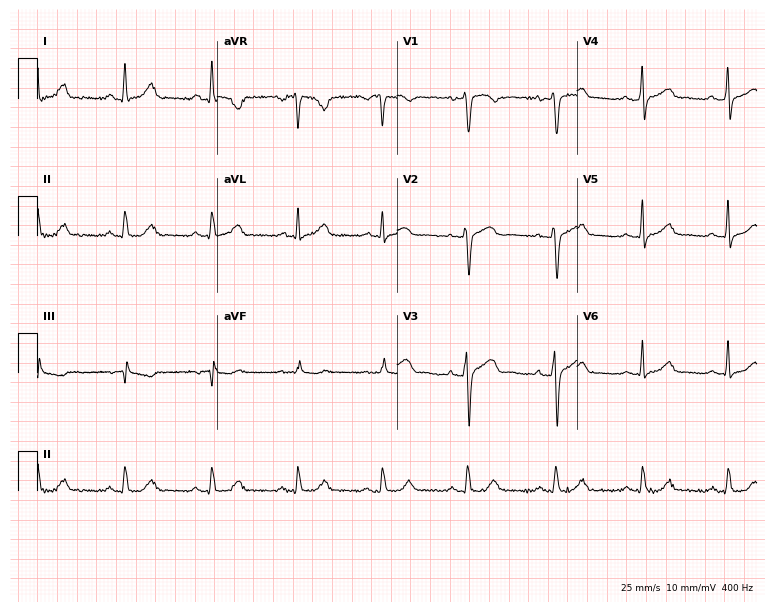
Resting 12-lead electrocardiogram (7.3-second recording at 400 Hz). Patient: a 46-year-old female. None of these six findings is recorded: first-degree AV block, right bundle branch block, left bundle branch block, sinus bradycardia, atrial fibrillation, sinus tachycardia. Findings outside these six are not listed.